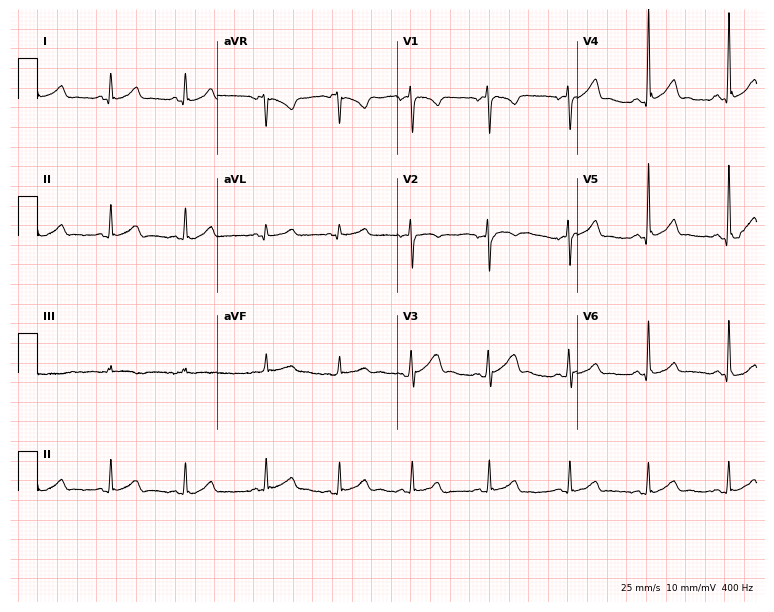
Electrocardiogram, a 29-year-old woman. Overall reading on record: normal ECG.